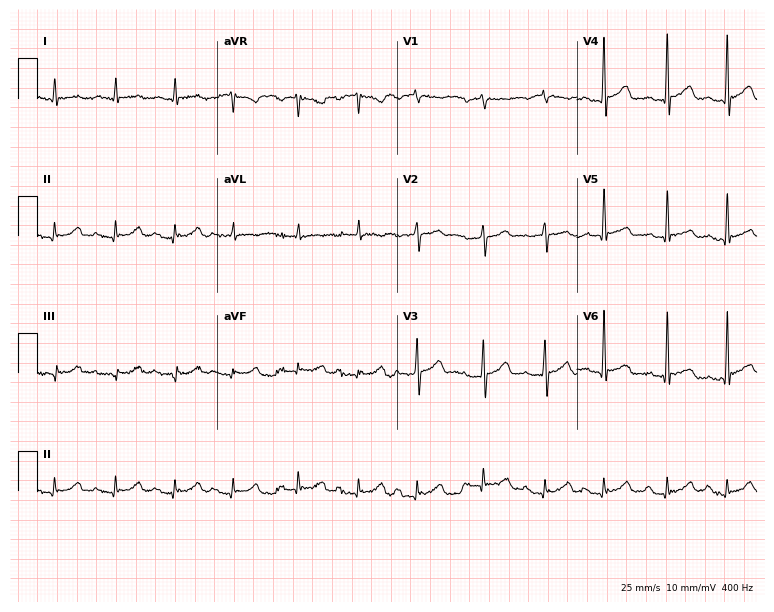
ECG (7.3-second recording at 400 Hz) — a 75-year-old man. Labelled as a normal ECG.